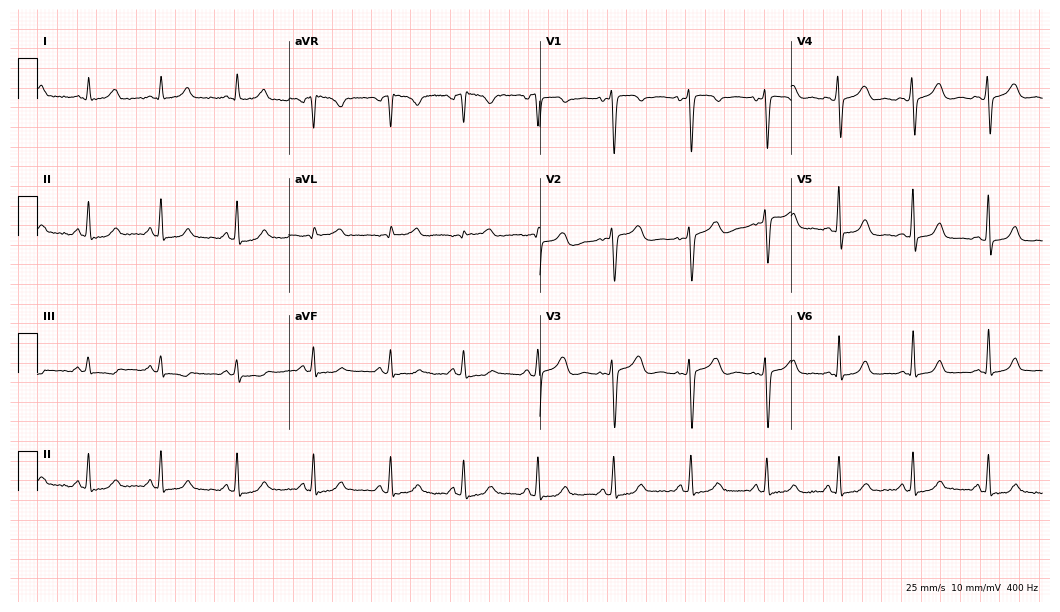
Resting 12-lead electrocardiogram (10.2-second recording at 400 Hz). Patient: a 49-year-old woman. None of these six findings is recorded: first-degree AV block, right bundle branch block, left bundle branch block, sinus bradycardia, atrial fibrillation, sinus tachycardia.